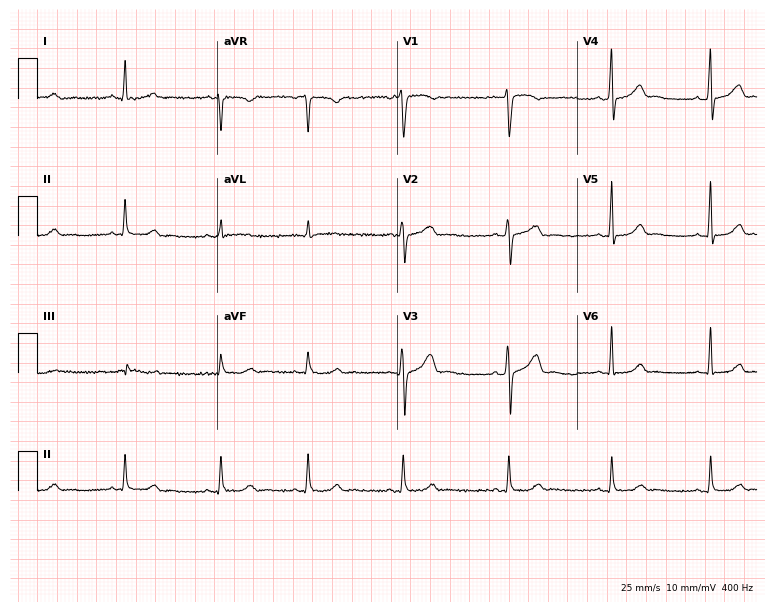
12-lead ECG (7.3-second recording at 400 Hz) from a woman, 25 years old. Labelled as a normal ECG.